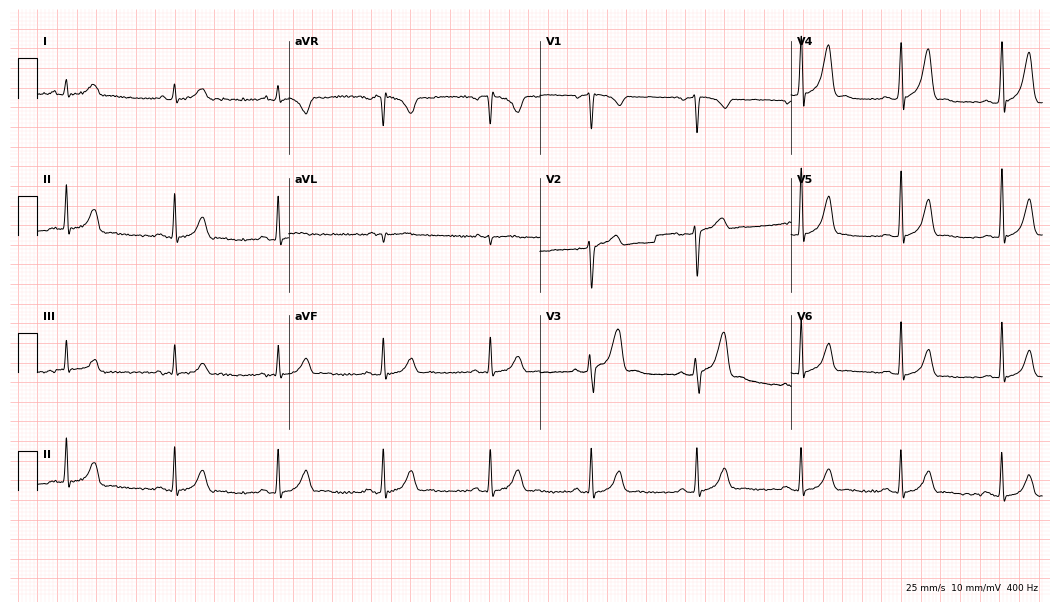
Standard 12-lead ECG recorded from a male patient, 38 years old (10.2-second recording at 400 Hz). None of these six findings is recorded: first-degree AV block, right bundle branch block (RBBB), left bundle branch block (LBBB), sinus bradycardia, atrial fibrillation (AF), sinus tachycardia. Other findings, if any, are not listed.